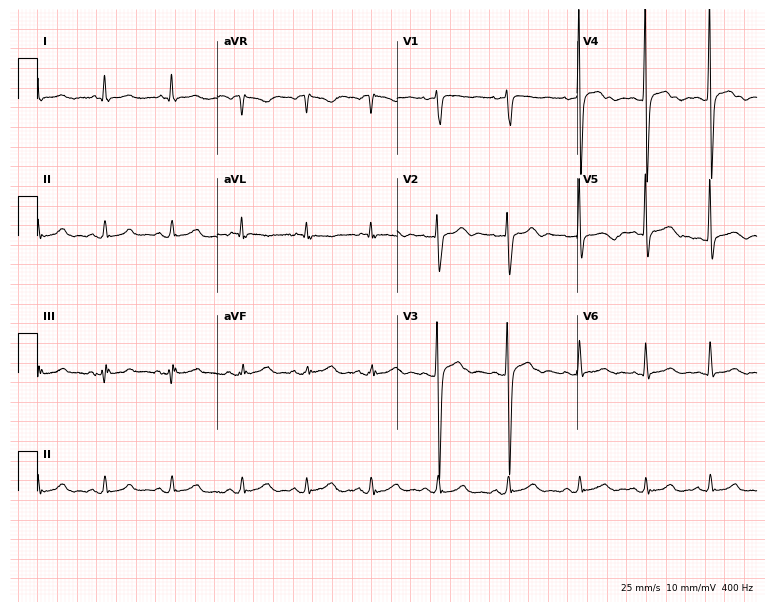
12-lead ECG from a 22-year-old male. Labelled as a normal ECG.